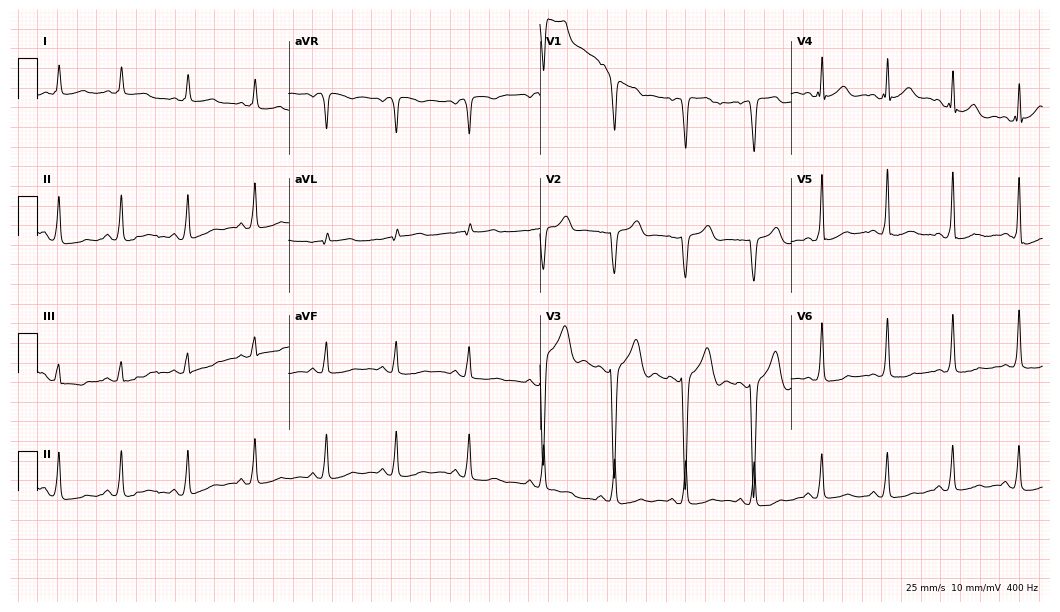
12-lead ECG from a male patient, 55 years old. No first-degree AV block, right bundle branch block, left bundle branch block, sinus bradycardia, atrial fibrillation or sinus tachycardia recorded for this tracing. Other findings, if any, are not listed.